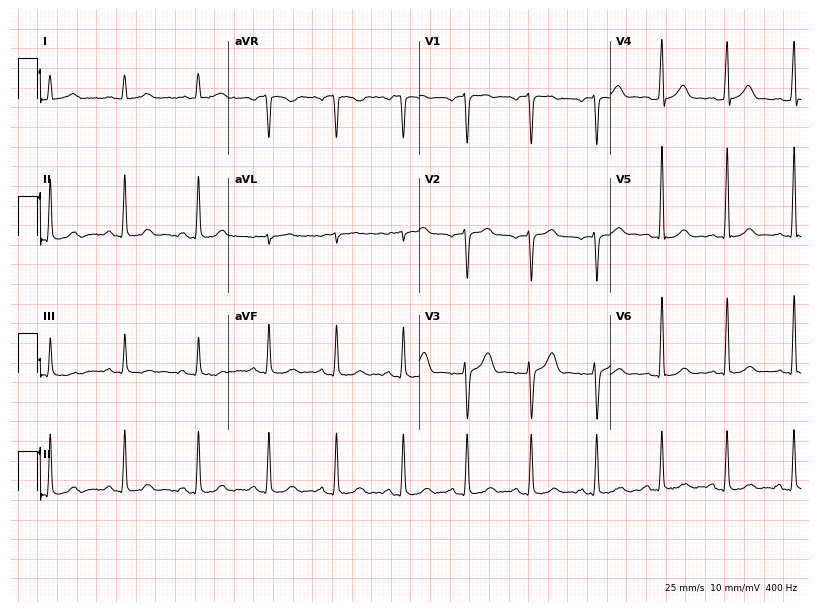
ECG (7.8-second recording at 400 Hz) — a 32-year-old male. Screened for six findings — first-degree AV block, right bundle branch block, left bundle branch block, sinus bradycardia, atrial fibrillation, sinus tachycardia — none is recorded.